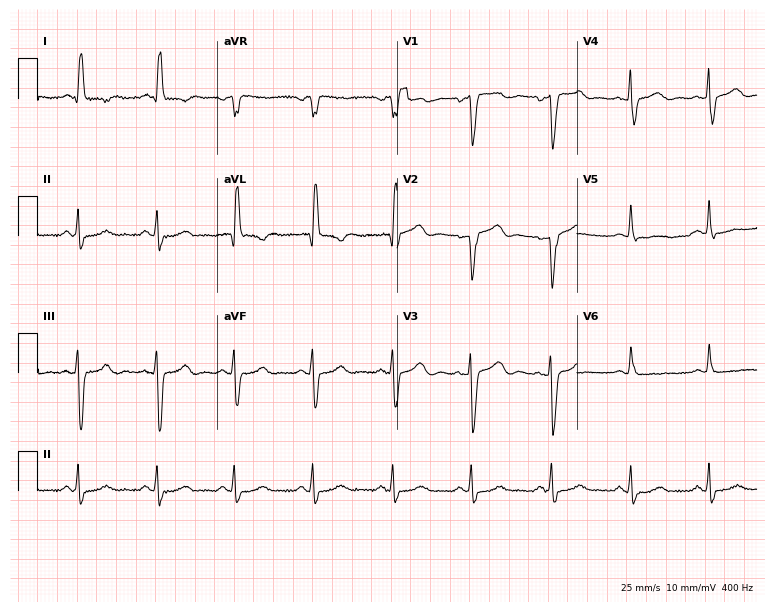
Standard 12-lead ECG recorded from a female patient, 62 years old (7.3-second recording at 400 Hz). None of these six findings is recorded: first-degree AV block, right bundle branch block, left bundle branch block, sinus bradycardia, atrial fibrillation, sinus tachycardia. Other findings, if any, are not listed.